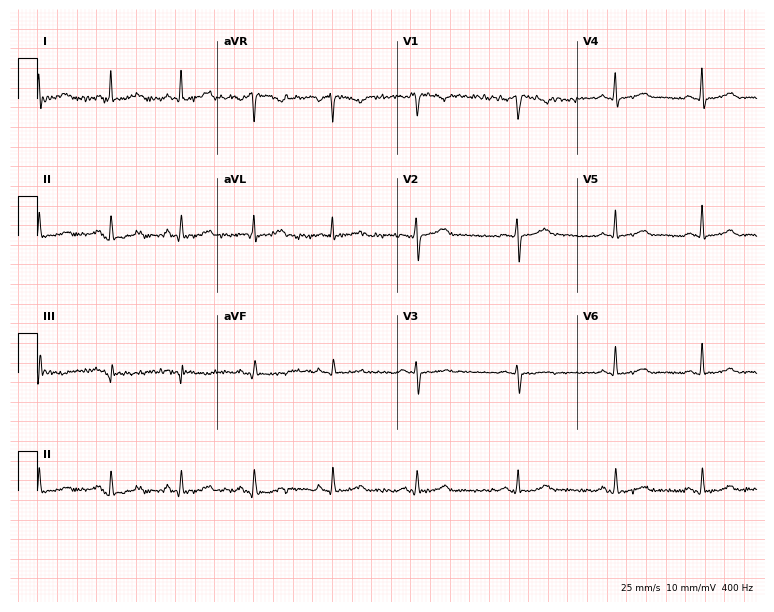
Standard 12-lead ECG recorded from a 45-year-old female patient (7.3-second recording at 400 Hz). Read as a normal ECG.